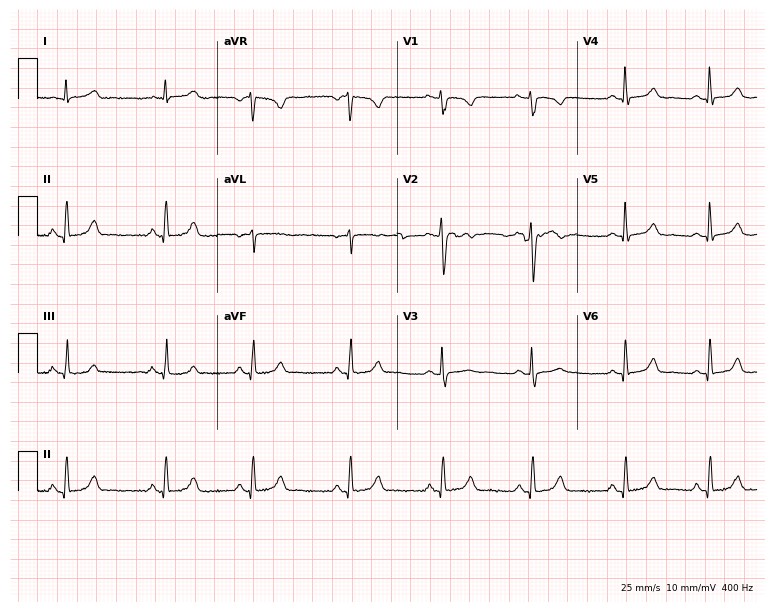
Resting 12-lead electrocardiogram (7.3-second recording at 400 Hz). Patient: a 25-year-old female. Read as a normal ECG.